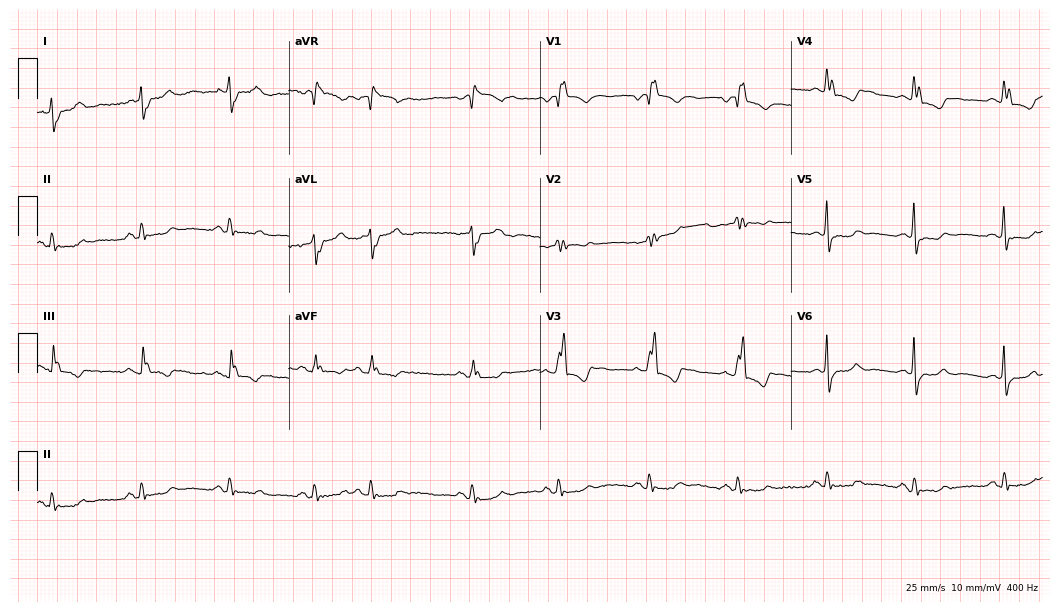
12-lead ECG (10.2-second recording at 400 Hz) from a woman, 81 years old. Findings include right bundle branch block.